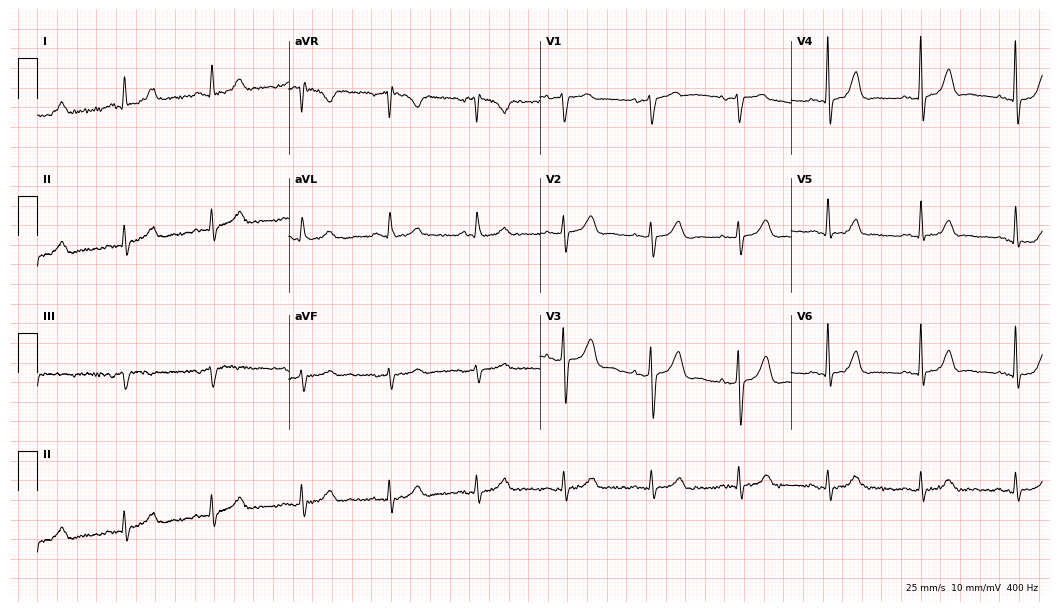
ECG (10.2-second recording at 400 Hz) — a woman, 82 years old. Screened for six findings — first-degree AV block, right bundle branch block, left bundle branch block, sinus bradycardia, atrial fibrillation, sinus tachycardia — none is recorded. Findings outside these six are not listed.